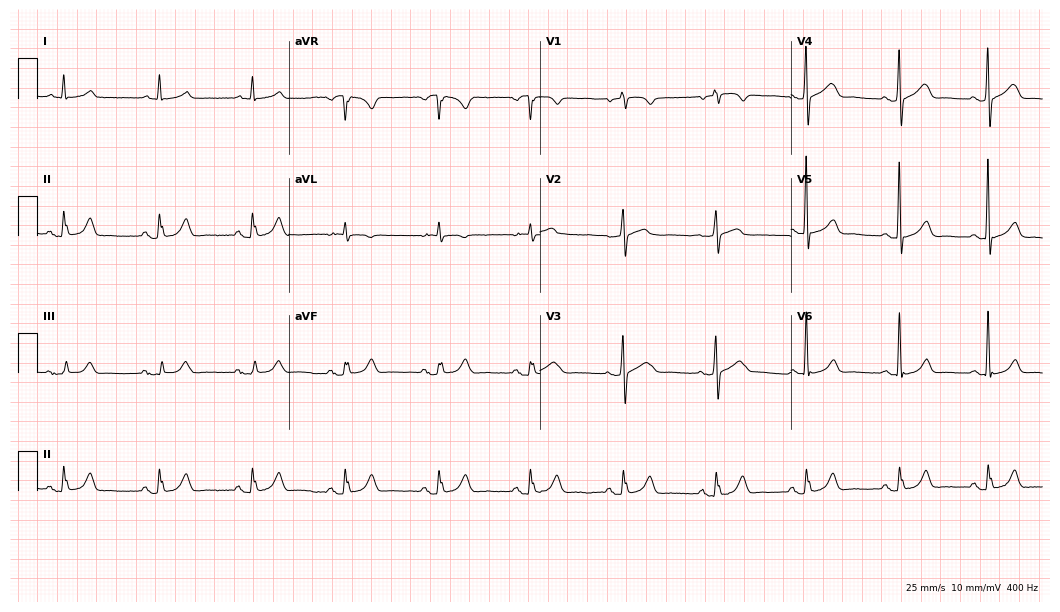
12-lead ECG from a 79-year-old female patient. Recorded interpretation: within normal limits.